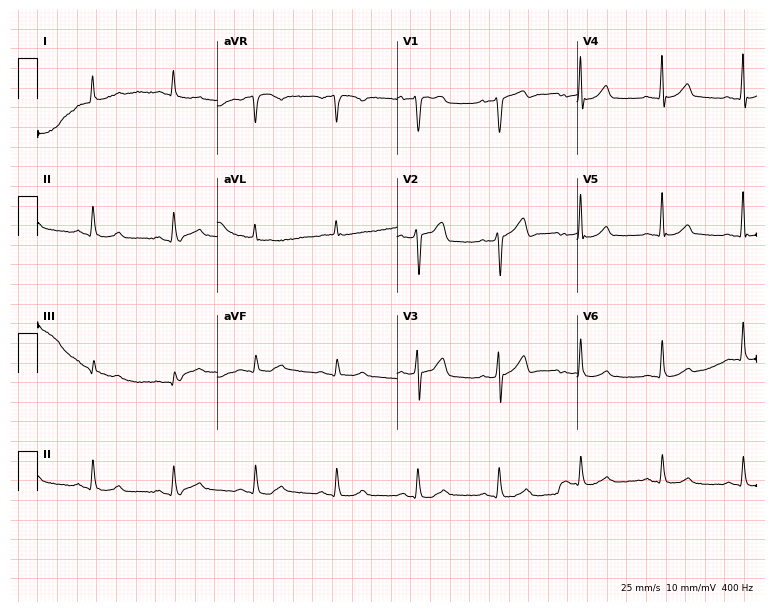
Standard 12-lead ECG recorded from a 53-year-old female patient (7.3-second recording at 400 Hz). None of these six findings is recorded: first-degree AV block, right bundle branch block, left bundle branch block, sinus bradycardia, atrial fibrillation, sinus tachycardia. Only these six findings were labelled.